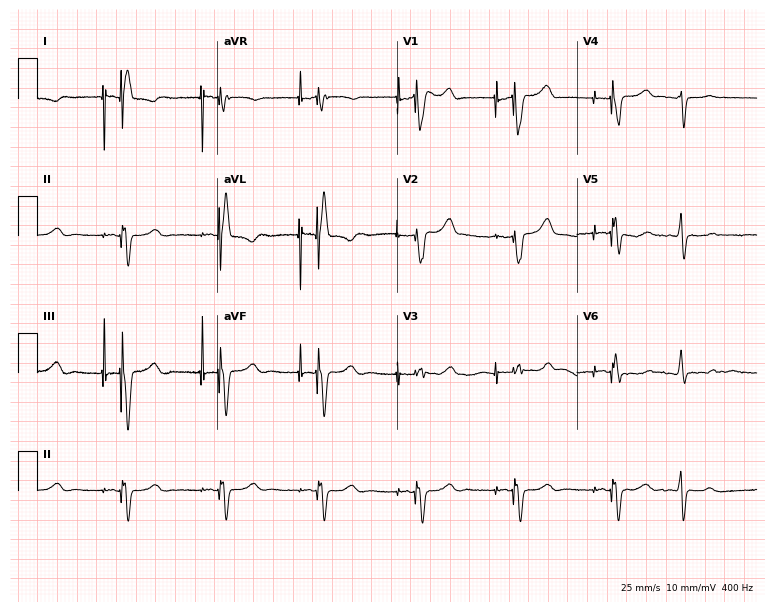
Electrocardiogram, a 45-year-old female patient. Of the six screened findings (first-degree AV block, right bundle branch block (RBBB), left bundle branch block (LBBB), sinus bradycardia, atrial fibrillation (AF), sinus tachycardia), none is recorded.